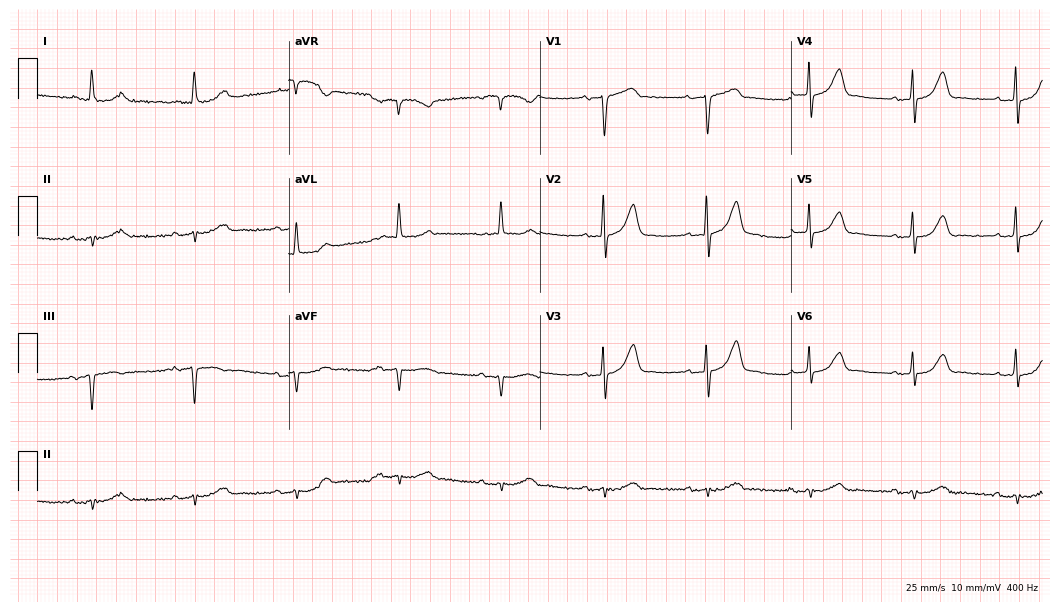
Standard 12-lead ECG recorded from a woman, 68 years old. Read as a normal ECG.